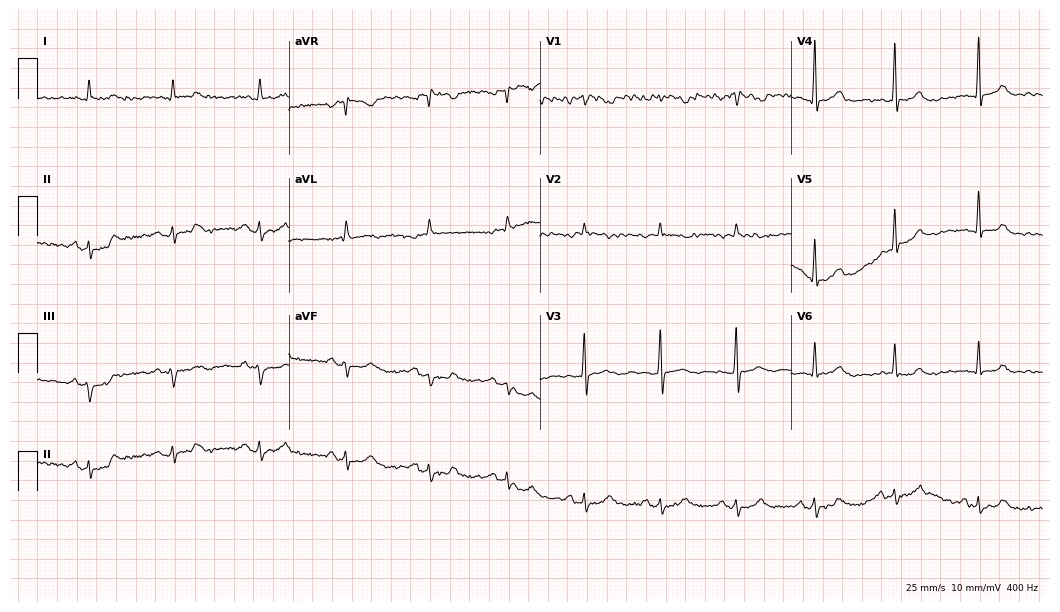
Electrocardiogram (10.2-second recording at 400 Hz), a female, 46 years old. Overall reading on record: normal ECG.